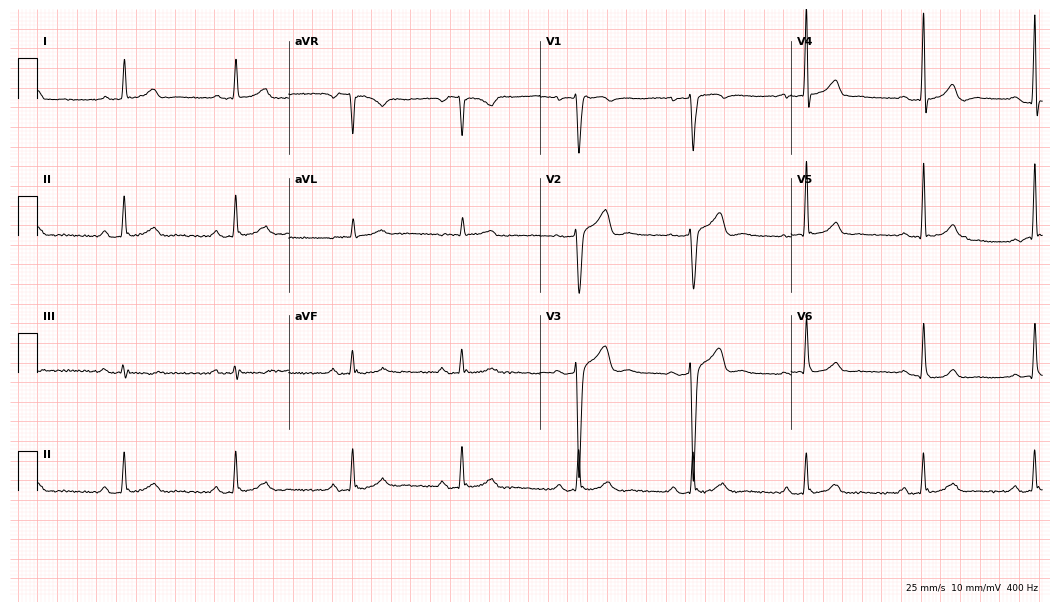
Resting 12-lead electrocardiogram (10.2-second recording at 400 Hz). Patient: a 39-year-old male. The tracing shows first-degree AV block.